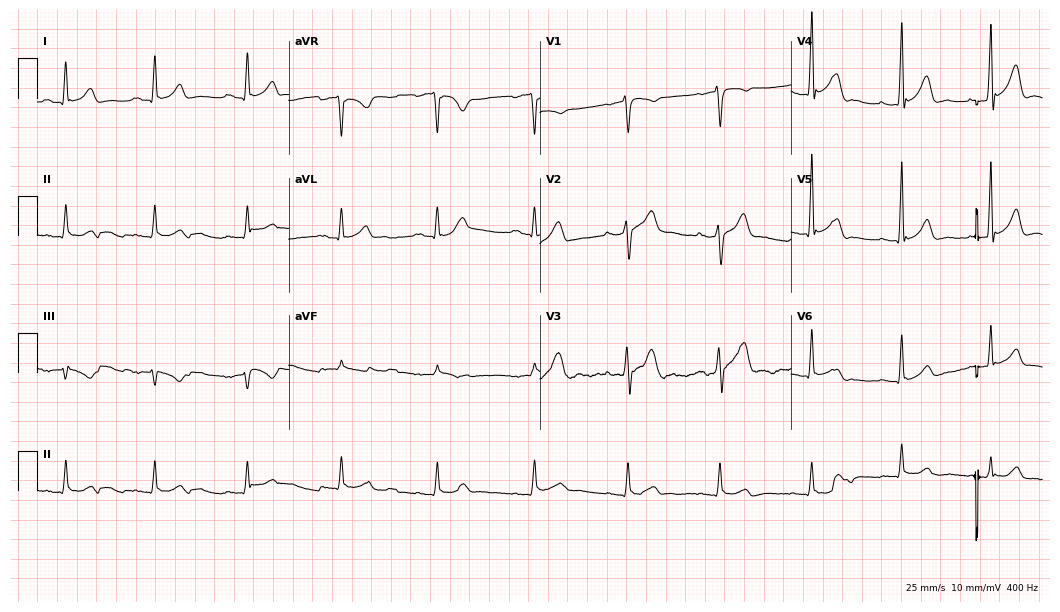
ECG (10.2-second recording at 400 Hz) — a 43-year-old man. Labelled as a normal ECG.